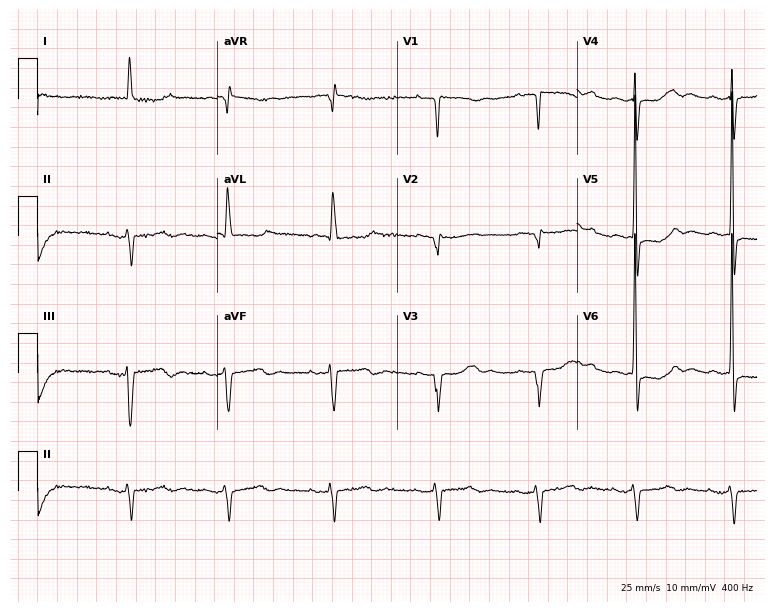
ECG (7.3-second recording at 400 Hz) — a 75-year-old woman. Labelled as a normal ECG.